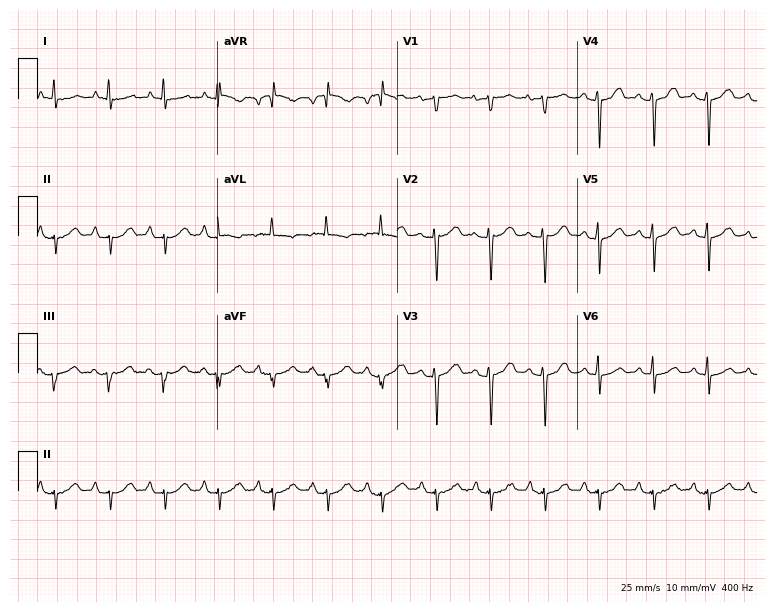
12-lead ECG from a female, 72 years old. Findings include sinus tachycardia (a sinus rate of 100 beats per minute or more).